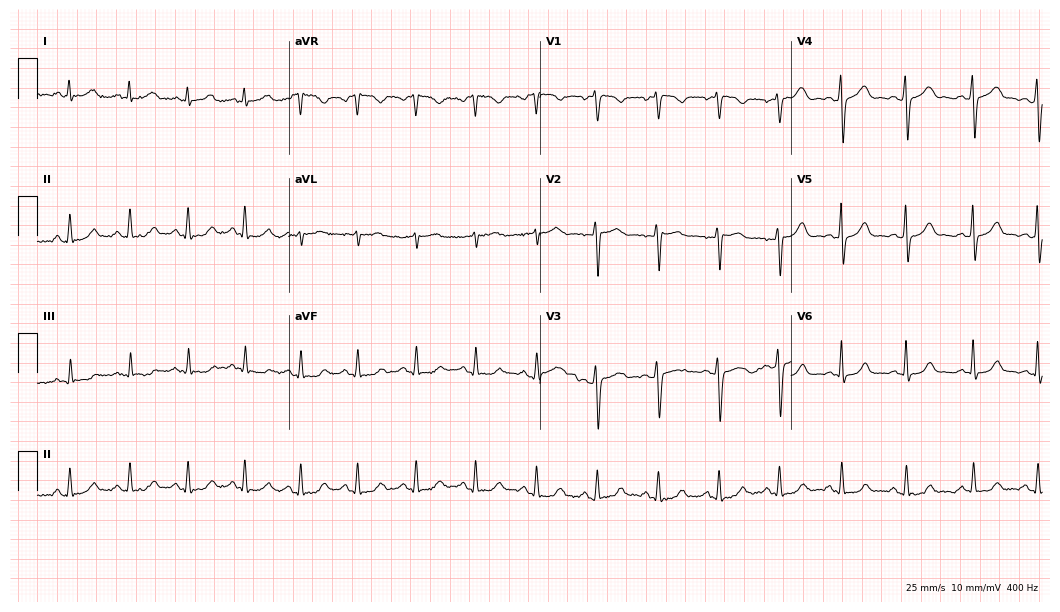
Resting 12-lead electrocardiogram (10.2-second recording at 400 Hz). Patient: a female, 43 years old. Read as a normal ECG.